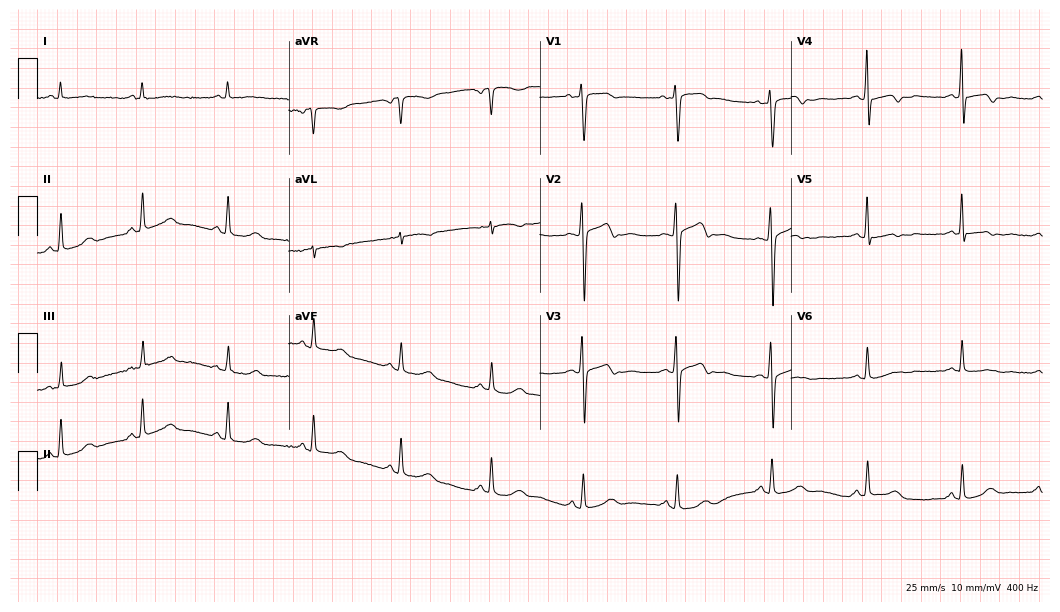
Electrocardiogram, a woman, 57 years old. Of the six screened findings (first-degree AV block, right bundle branch block (RBBB), left bundle branch block (LBBB), sinus bradycardia, atrial fibrillation (AF), sinus tachycardia), none is recorded.